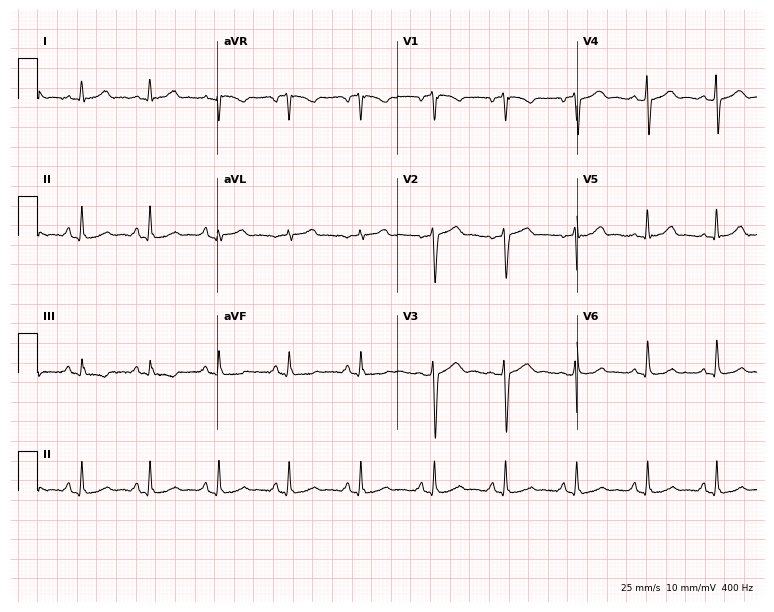
12-lead ECG from a 56-year-old woman. Recorded interpretation: within normal limits.